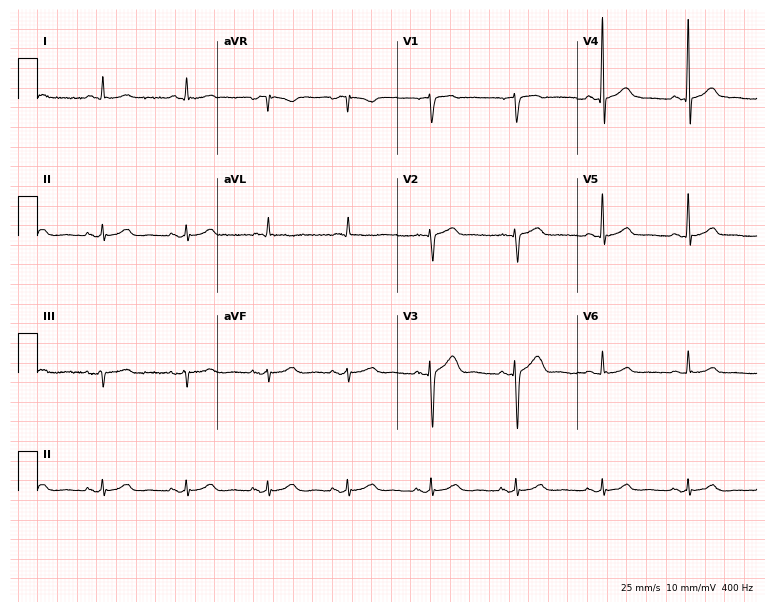
ECG (7.3-second recording at 400 Hz) — a 78-year-old male patient. Screened for six findings — first-degree AV block, right bundle branch block, left bundle branch block, sinus bradycardia, atrial fibrillation, sinus tachycardia — none is recorded. Other findings, if any, are not listed.